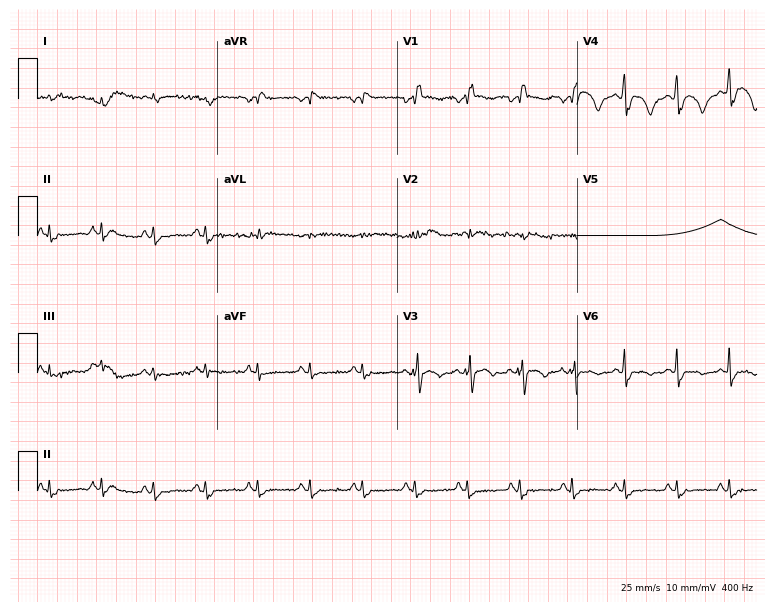
Electrocardiogram (7.3-second recording at 400 Hz), a 67-year-old female patient. Of the six screened findings (first-degree AV block, right bundle branch block, left bundle branch block, sinus bradycardia, atrial fibrillation, sinus tachycardia), none is recorded.